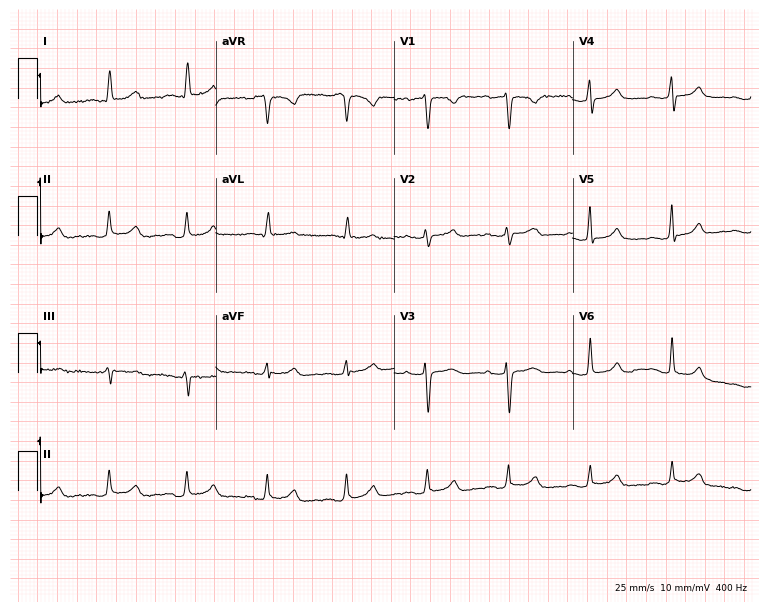
Electrocardiogram, an 80-year-old female. Interpretation includes atrial fibrillation.